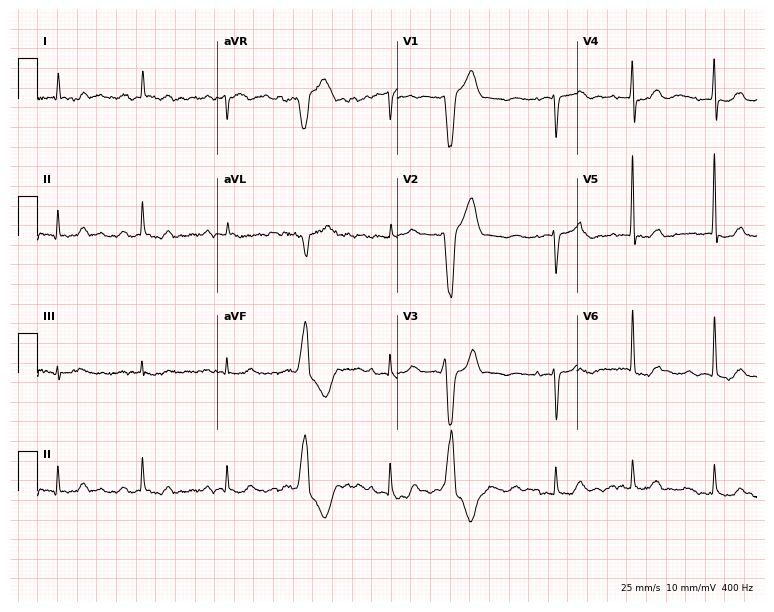
Electrocardiogram, an 81-year-old female. Of the six screened findings (first-degree AV block, right bundle branch block, left bundle branch block, sinus bradycardia, atrial fibrillation, sinus tachycardia), none is recorded.